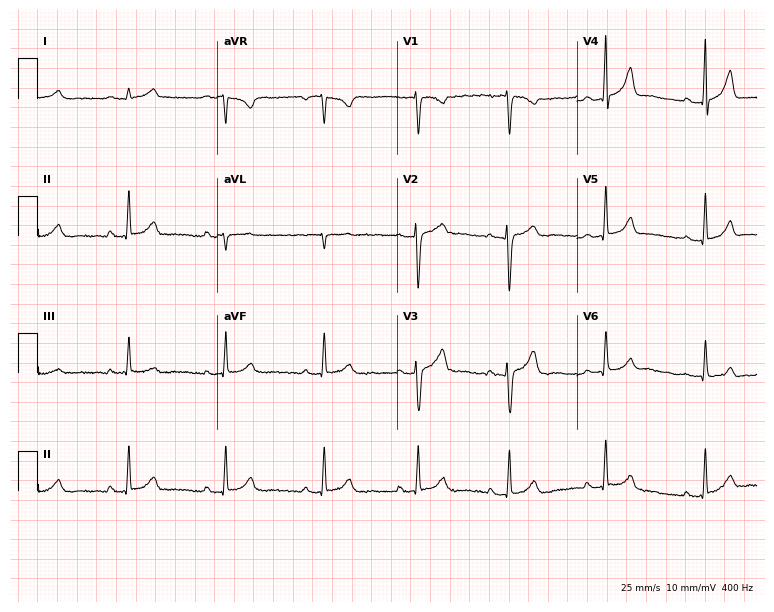
Electrocardiogram (7.3-second recording at 400 Hz), a 31-year-old woman. Of the six screened findings (first-degree AV block, right bundle branch block (RBBB), left bundle branch block (LBBB), sinus bradycardia, atrial fibrillation (AF), sinus tachycardia), none is recorded. Only these six findings were labelled.